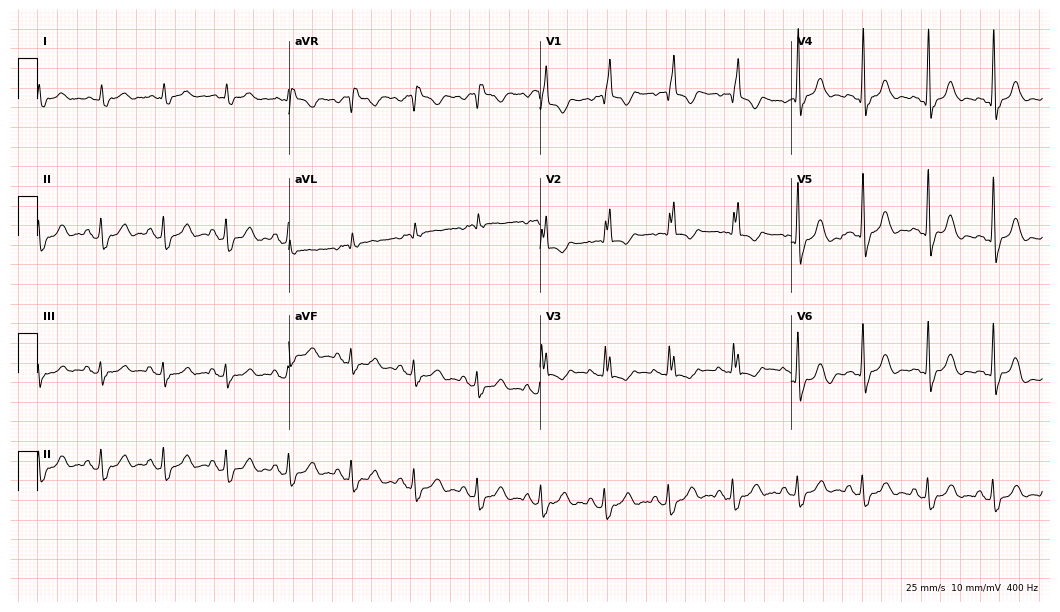
12-lead ECG from a female, 72 years old. Findings include right bundle branch block (RBBB).